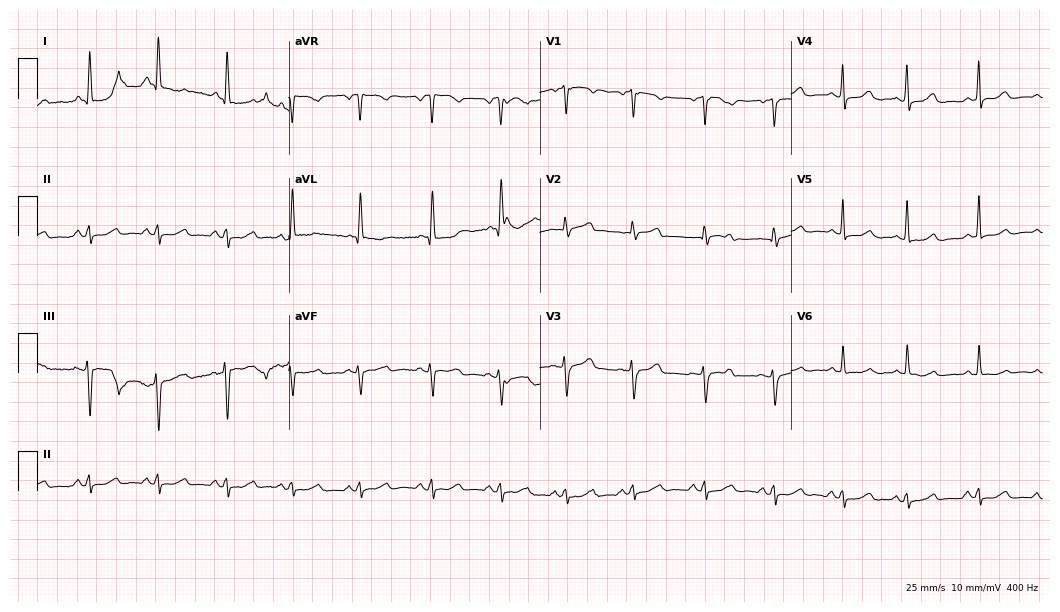
12-lead ECG (10.2-second recording at 400 Hz) from a woman, 84 years old. Labelled as a normal ECG.